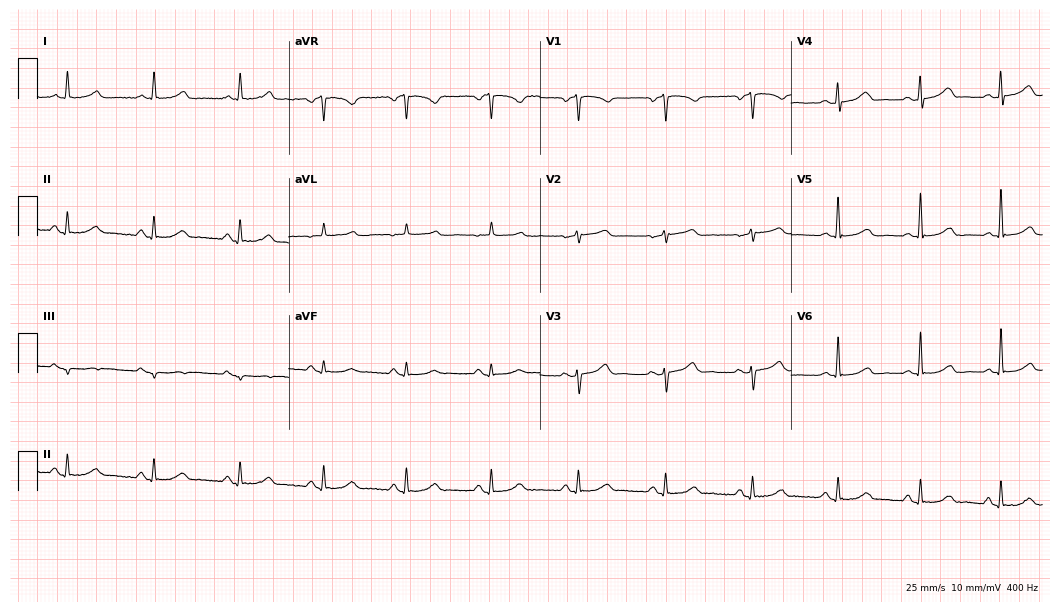
Electrocardiogram (10.2-second recording at 400 Hz), a 56-year-old female patient. Overall reading on record: normal ECG.